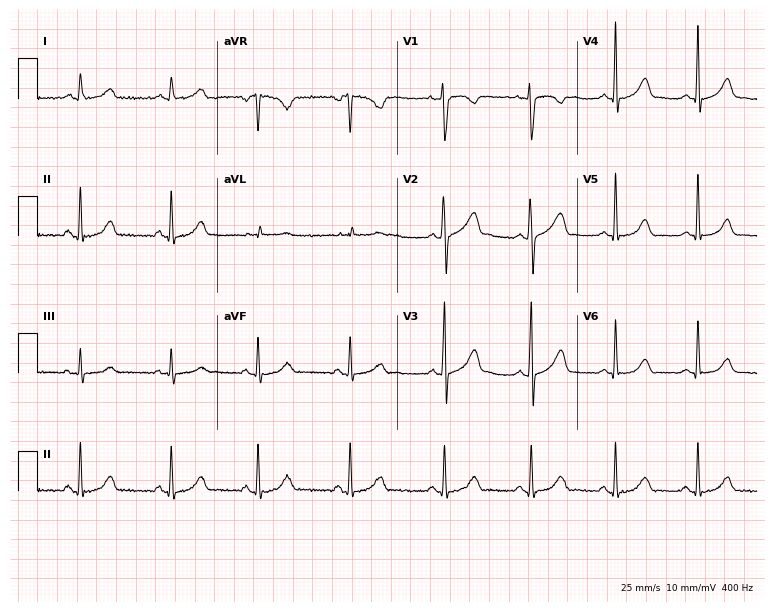
12-lead ECG (7.3-second recording at 400 Hz) from a 32-year-old female. Labelled as a normal ECG.